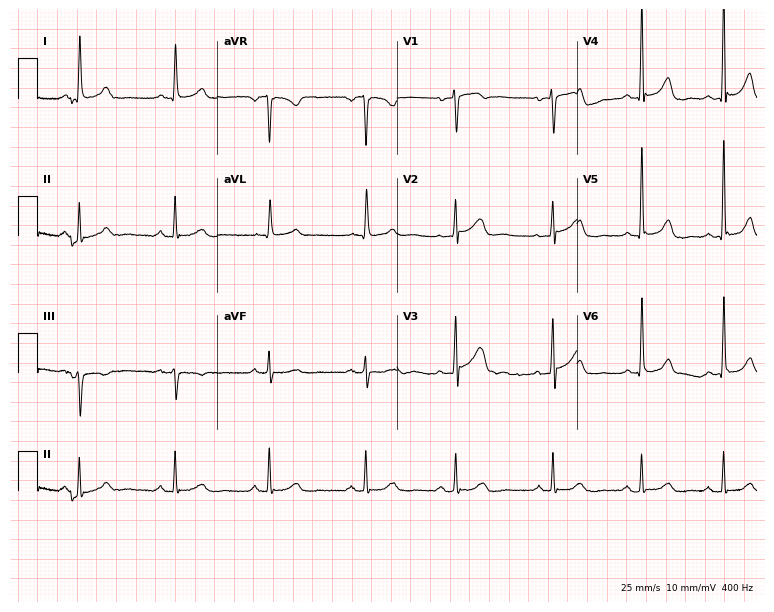
12-lead ECG from a woman, 73 years old (7.3-second recording at 400 Hz). No first-degree AV block, right bundle branch block, left bundle branch block, sinus bradycardia, atrial fibrillation or sinus tachycardia recorded for this tracing.